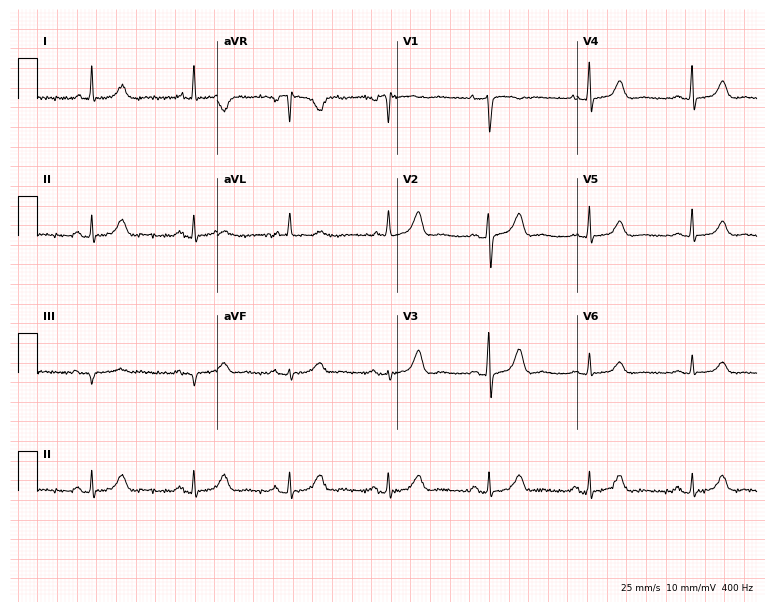
Standard 12-lead ECG recorded from a female, 67 years old (7.3-second recording at 400 Hz). Read as a normal ECG.